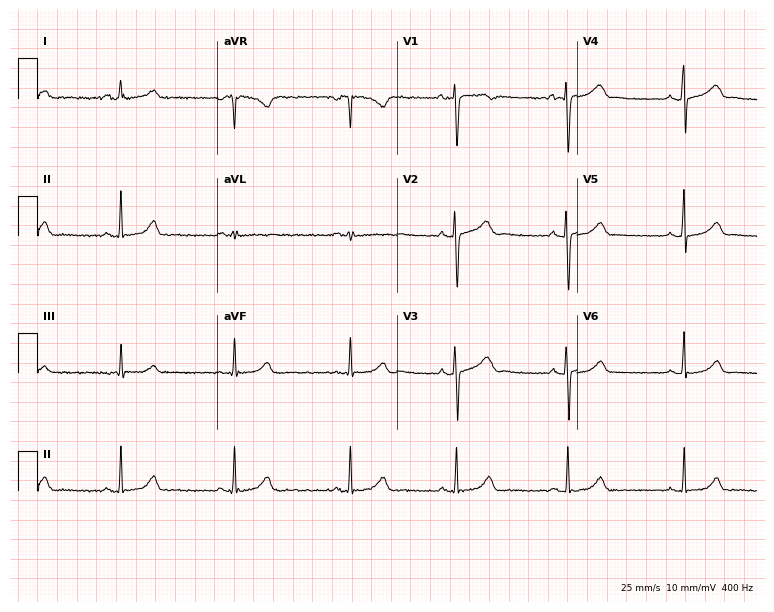
12-lead ECG from a woman, 27 years old. No first-degree AV block, right bundle branch block, left bundle branch block, sinus bradycardia, atrial fibrillation or sinus tachycardia recorded for this tracing. Other findings, if any, are not listed.